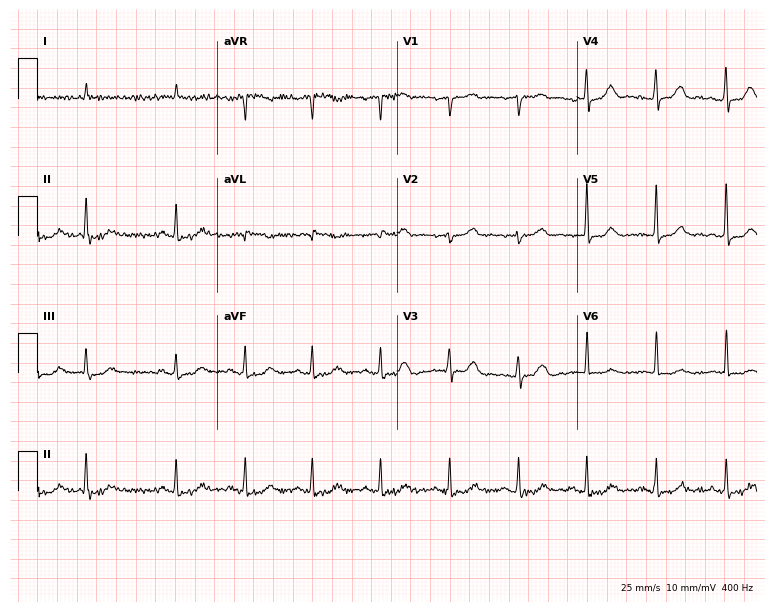
Standard 12-lead ECG recorded from an 83-year-old male patient (7.3-second recording at 400 Hz). Read as a normal ECG.